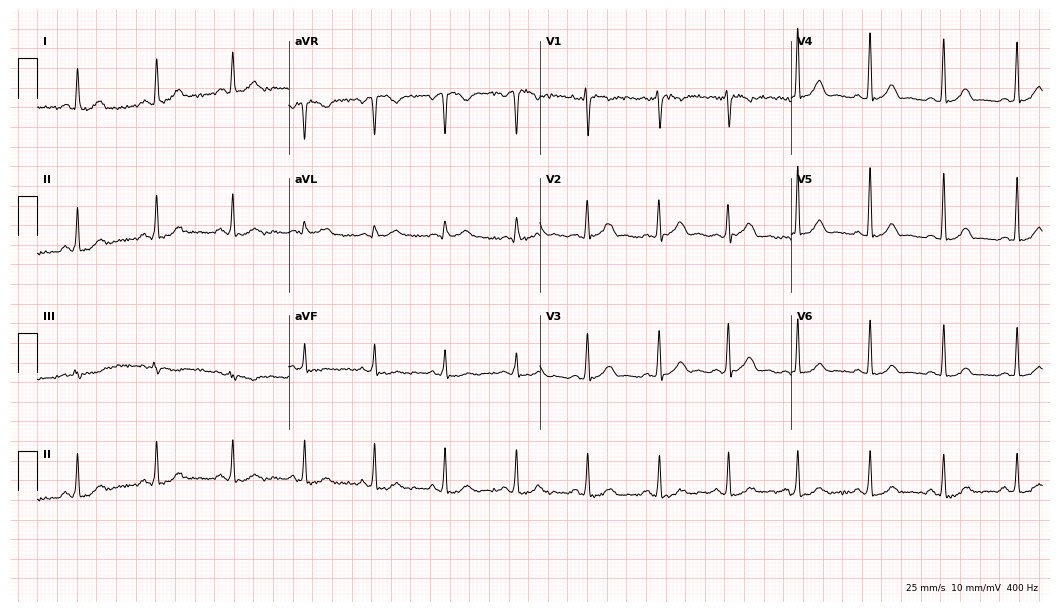
12-lead ECG from a female patient, 33 years old. Labelled as a normal ECG.